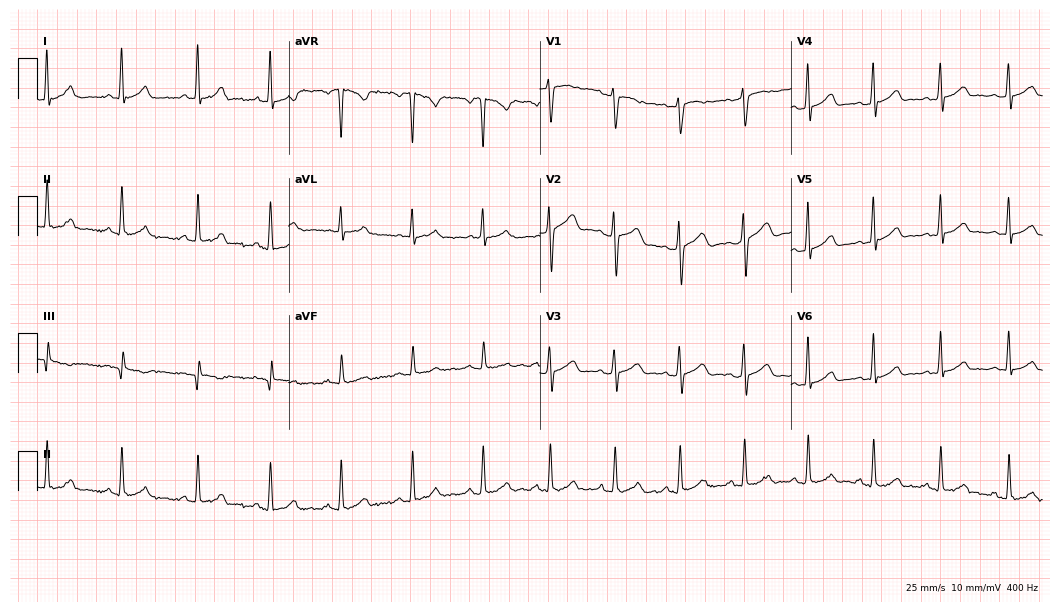
Resting 12-lead electrocardiogram (10.2-second recording at 400 Hz). Patient: a 27-year-old woman. Read as a normal ECG.